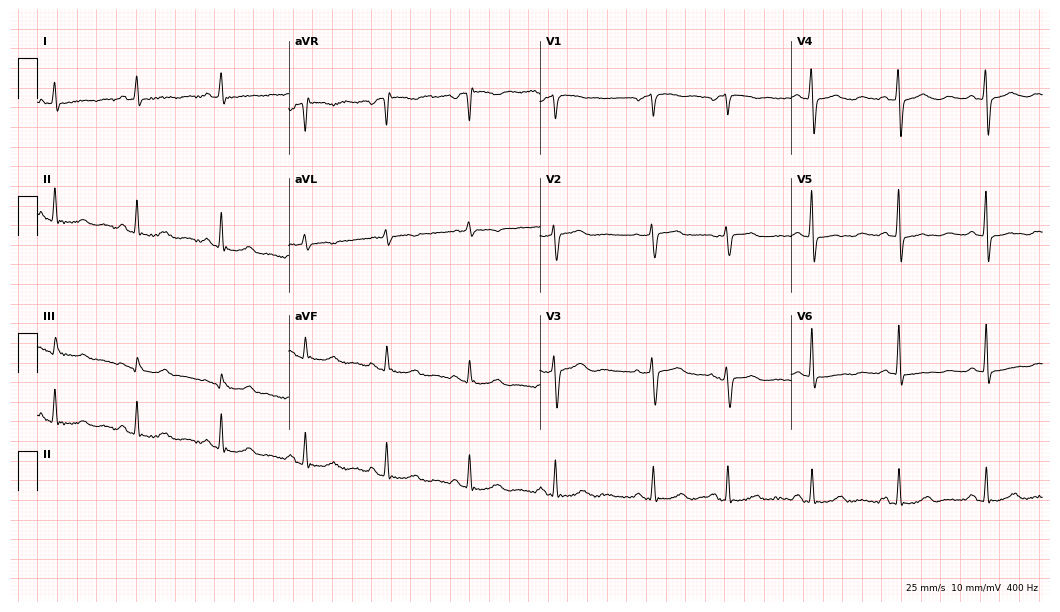
Resting 12-lead electrocardiogram (10.2-second recording at 400 Hz). Patient: a 71-year-old woman. Read as a normal ECG.